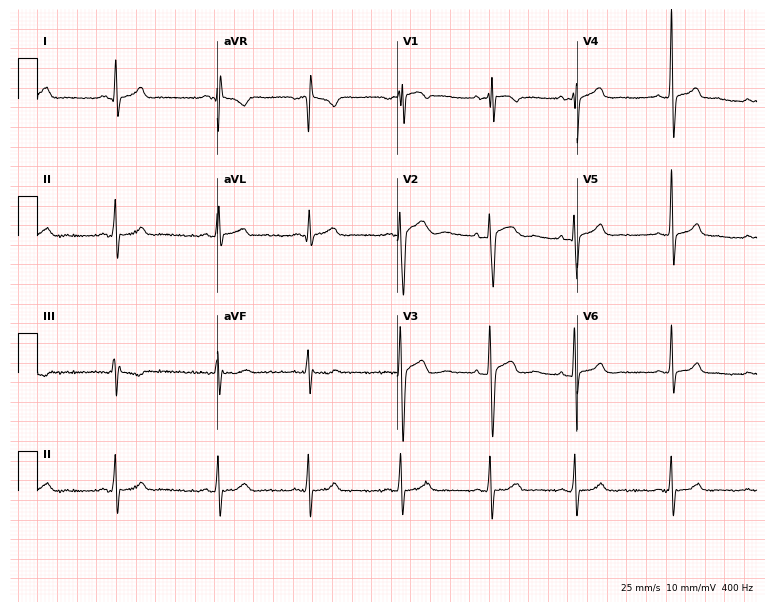
Resting 12-lead electrocardiogram. Patient: a male, 19 years old. Read as a normal ECG.